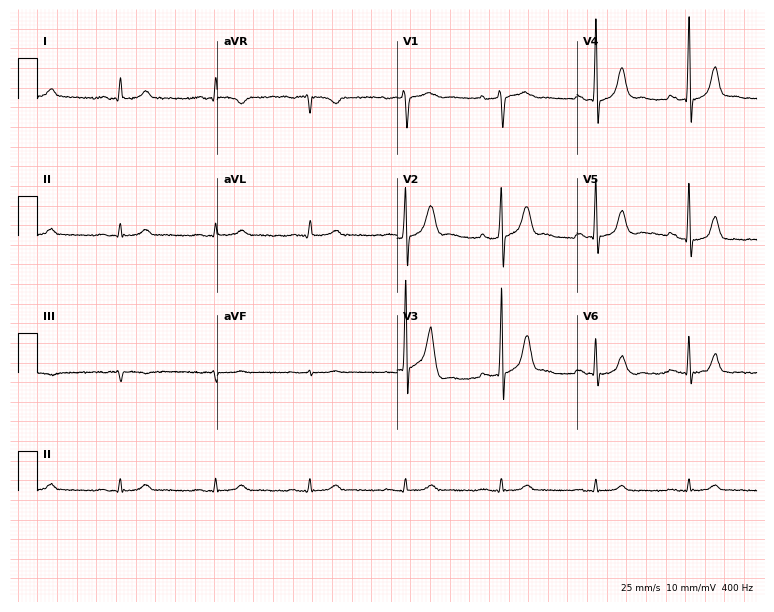
Standard 12-lead ECG recorded from a 63-year-old man. Read as a normal ECG.